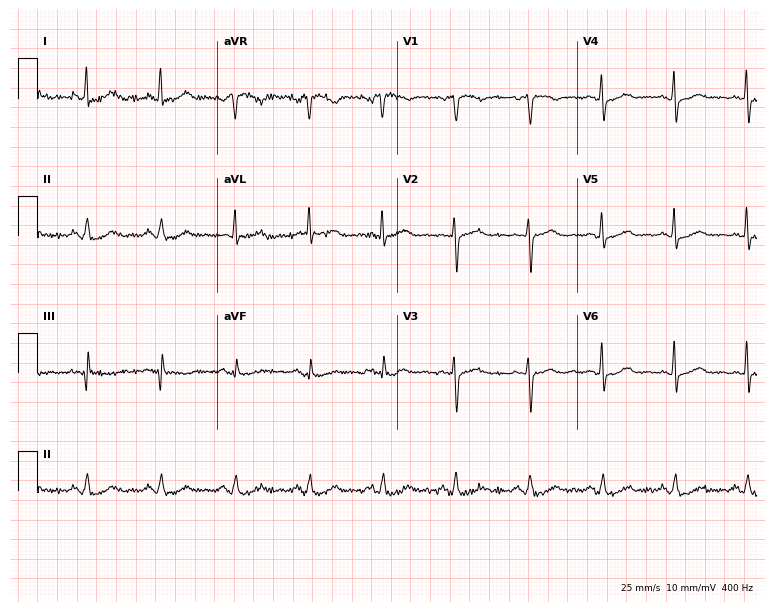
Electrocardiogram, a female, 56 years old. Overall reading on record: normal ECG.